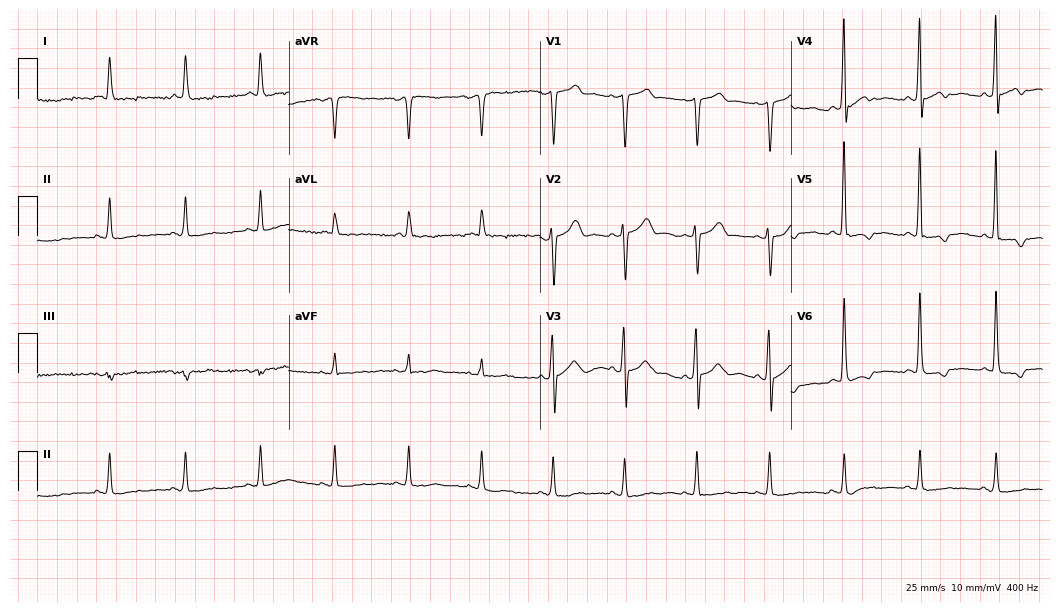
ECG (10.2-second recording at 400 Hz) — a man, 64 years old. Screened for six findings — first-degree AV block, right bundle branch block (RBBB), left bundle branch block (LBBB), sinus bradycardia, atrial fibrillation (AF), sinus tachycardia — none is recorded.